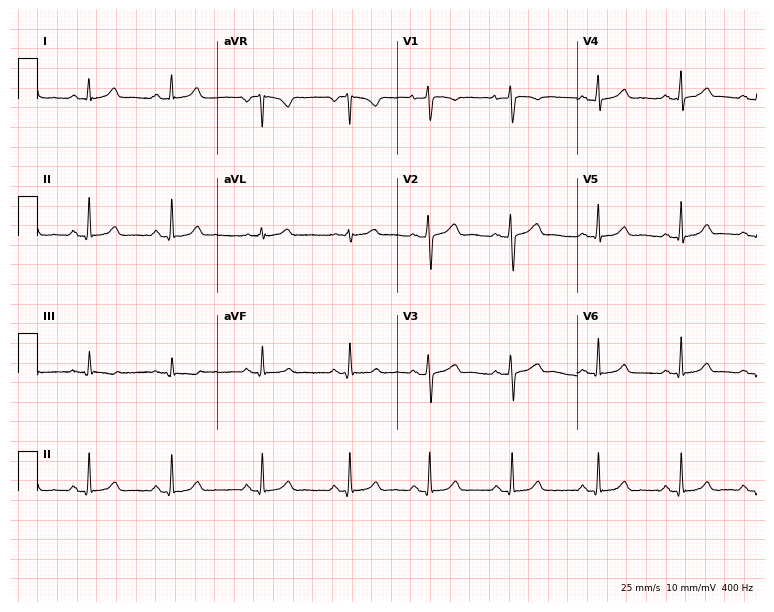
Electrocardiogram, a female, 34 years old. Of the six screened findings (first-degree AV block, right bundle branch block, left bundle branch block, sinus bradycardia, atrial fibrillation, sinus tachycardia), none is recorded.